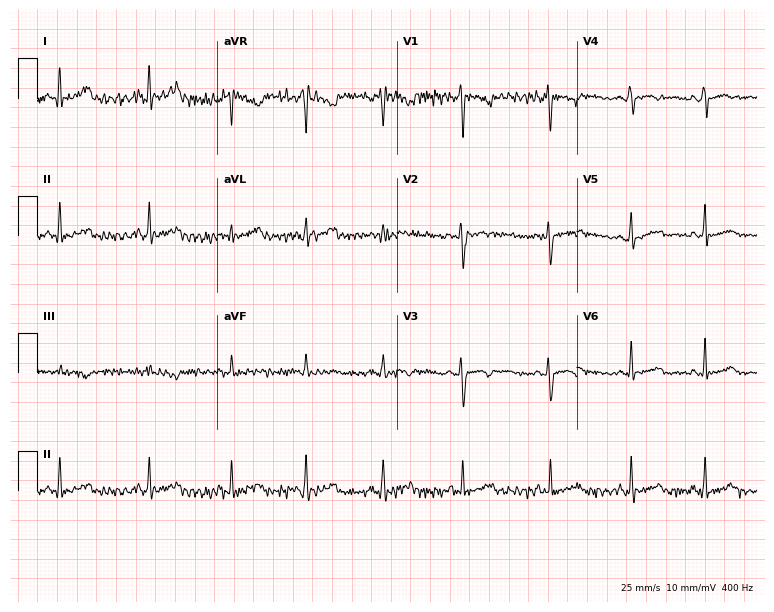
Standard 12-lead ECG recorded from a woman, 37 years old (7.3-second recording at 400 Hz). None of these six findings is recorded: first-degree AV block, right bundle branch block, left bundle branch block, sinus bradycardia, atrial fibrillation, sinus tachycardia.